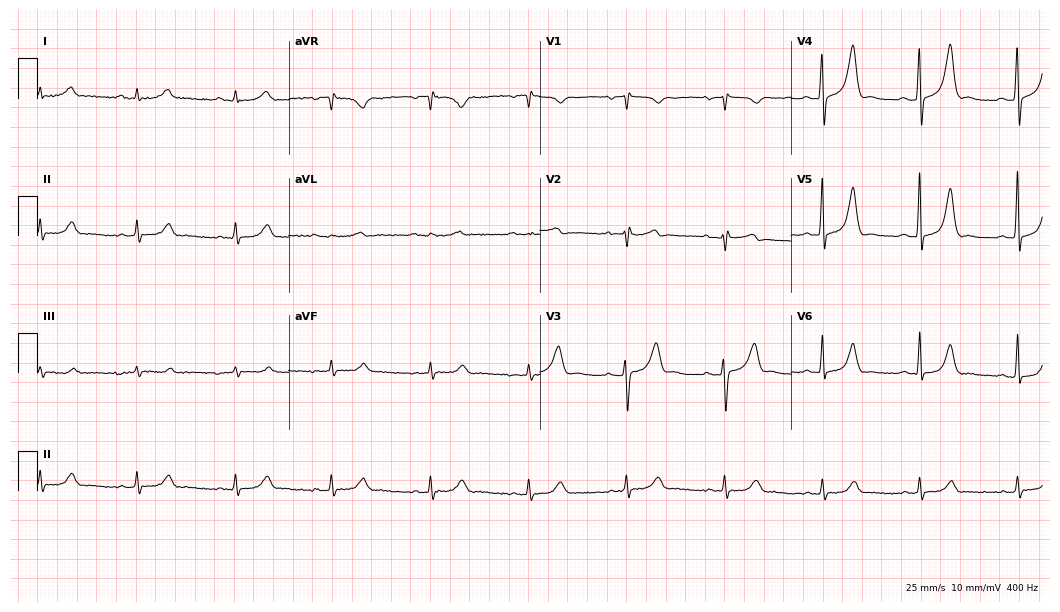
Resting 12-lead electrocardiogram. Patient: a 74-year-old man. None of these six findings is recorded: first-degree AV block, right bundle branch block, left bundle branch block, sinus bradycardia, atrial fibrillation, sinus tachycardia. Other findings, if any, are not listed.